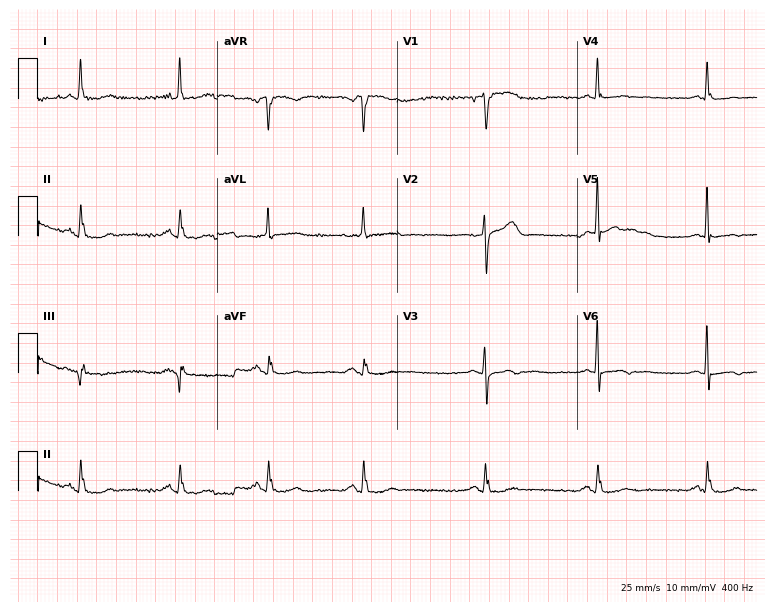
ECG — a 70-year-old female. Screened for six findings — first-degree AV block, right bundle branch block (RBBB), left bundle branch block (LBBB), sinus bradycardia, atrial fibrillation (AF), sinus tachycardia — none is recorded. Only these six findings were labelled.